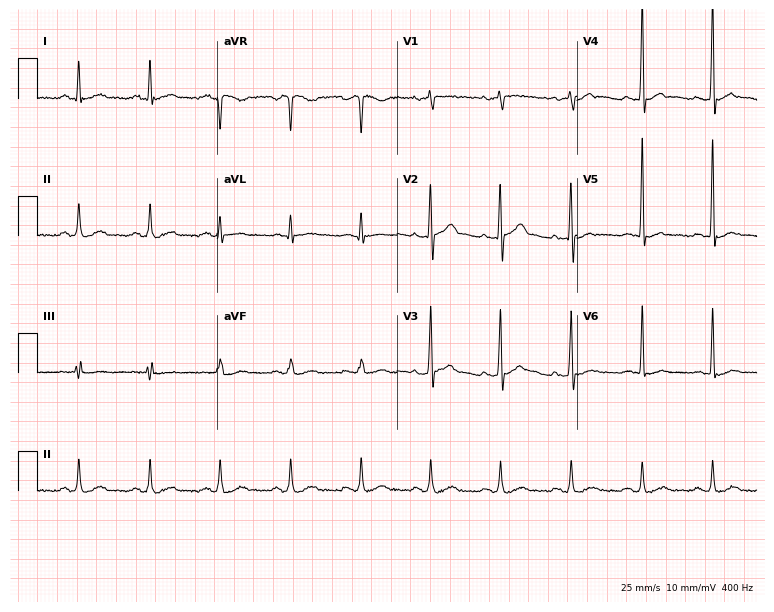
Resting 12-lead electrocardiogram. Patient: a 49-year-old male. Read as a normal ECG.